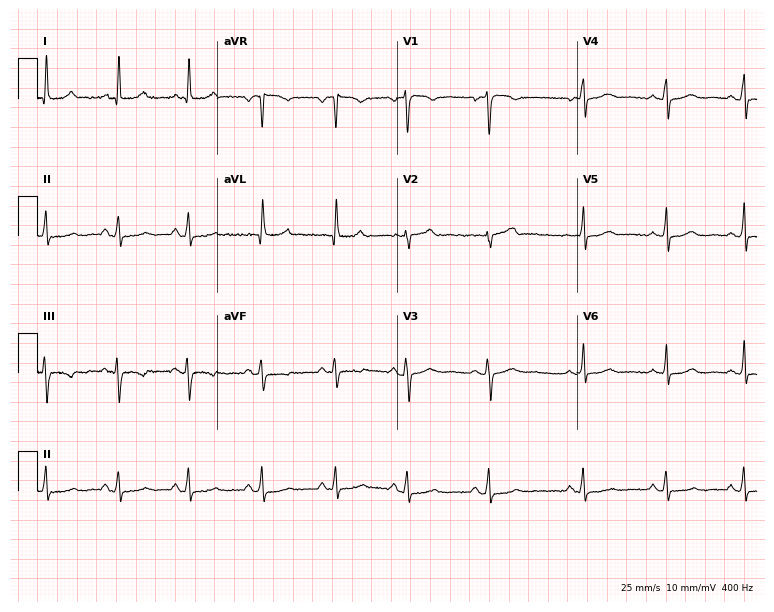
Electrocardiogram, a 28-year-old woman. Overall reading on record: normal ECG.